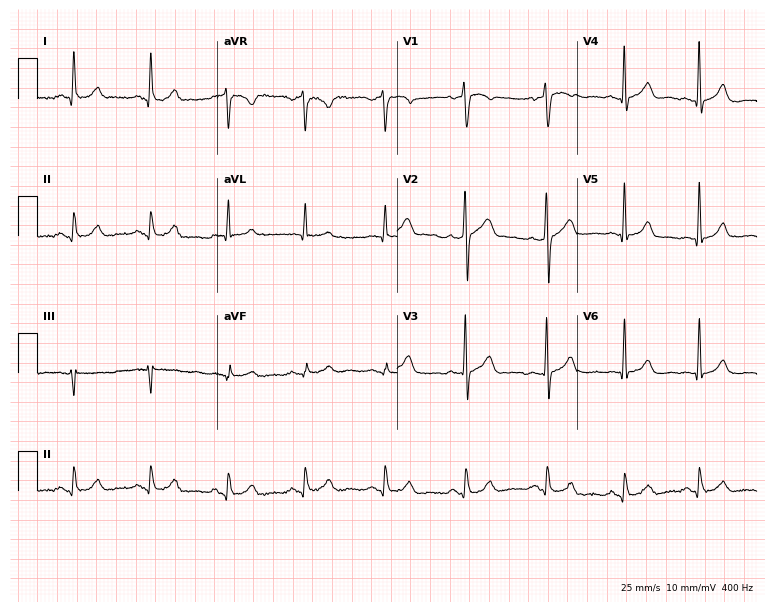
Standard 12-lead ECG recorded from a 62-year-old male patient. None of these six findings is recorded: first-degree AV block, right bundle branch block, left bundle branch block, sinus bradycardia, atrial fibrillation, sinus tachycardia. Findings outside these six are not listed.